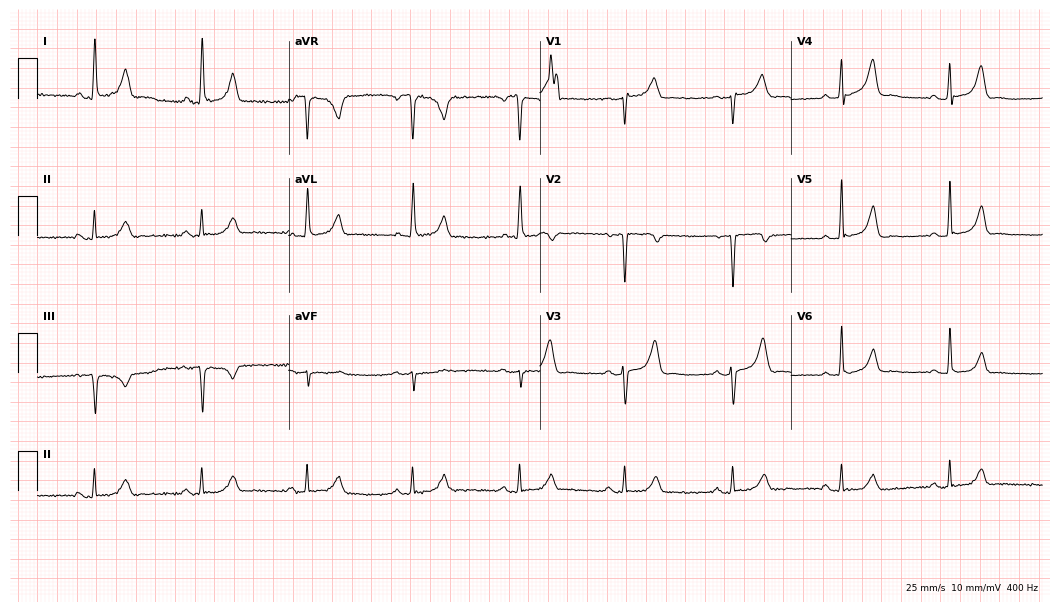
Standard 12-lead ECG recorded from a 69-year-old woman (10.2-second recording at 400 Hz). None of these six findings is recorded: first-degree AV block, right bundle branch block (RBBB), left bundle branch block (LBBB), sinus bradycardia, atrial fibrillation (AF), sinus tachycardia. Other findings, if any, are not listed.